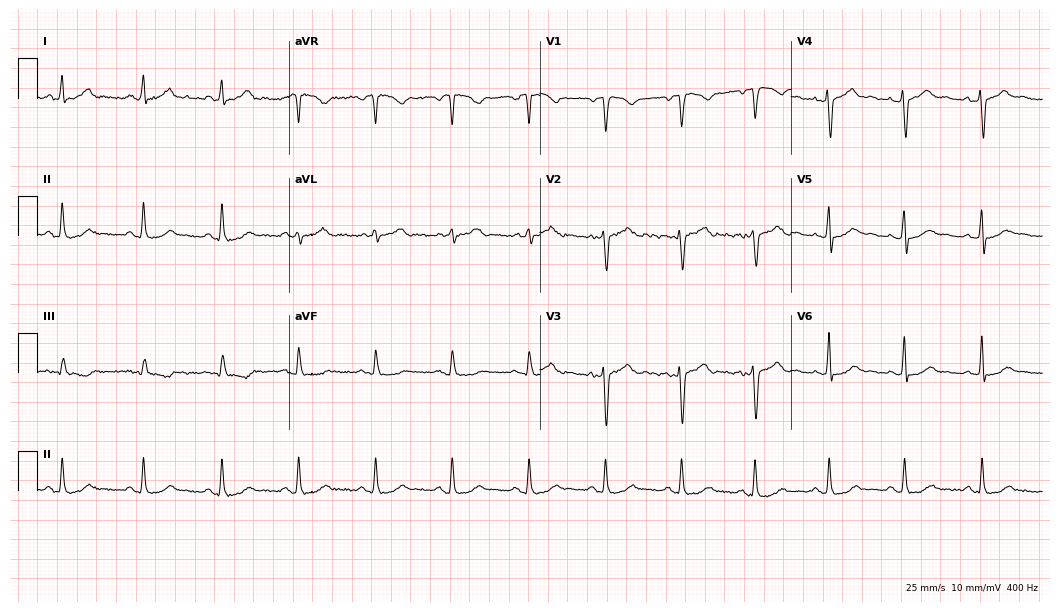
12-lead ECG (10.2-second recording at 400 Hz) from a female, 39 years old. Screened for six findings — first-degree AV block, right bundle branch block, left bundle branch block, sinus bradycardia, atrial fibrillation, sinus tachycardia — none is recorded.